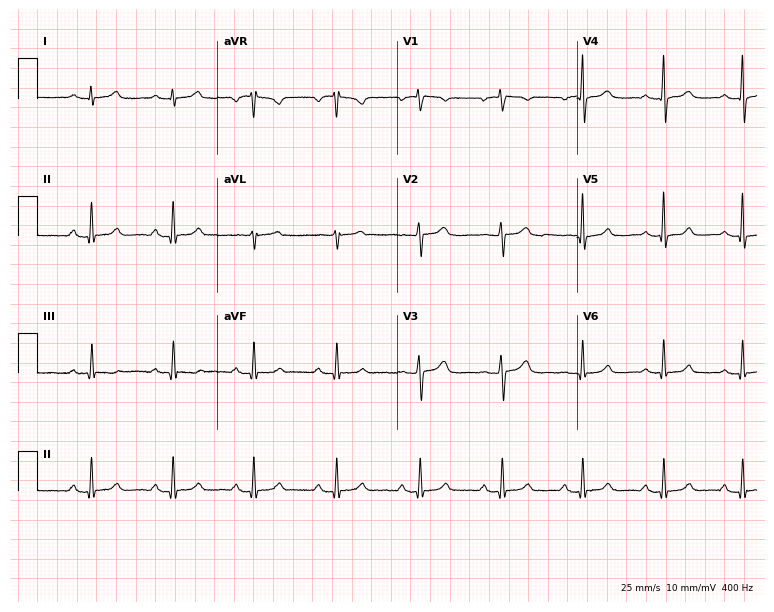
12-lead ECG from a 57-year-old woman. Labelled as a normal ECG.